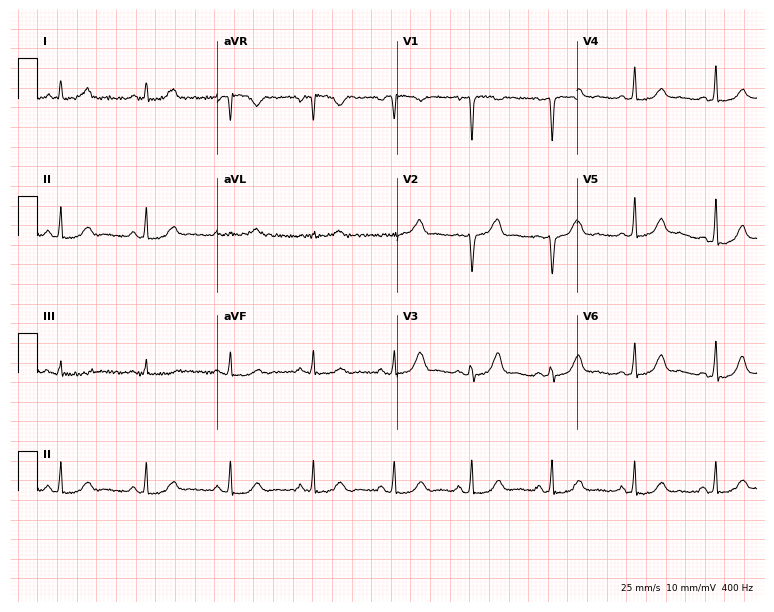
Electrocardiogram, a 47-year-old woman. Overall reading on record: normal ECG.